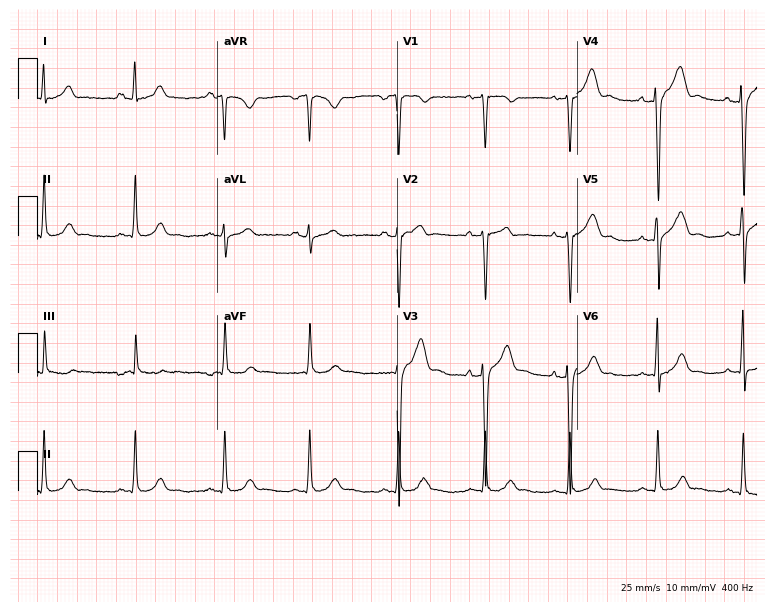
Electrocardiogram, a male, 28 years old. Overall reading on record: normal ECG.